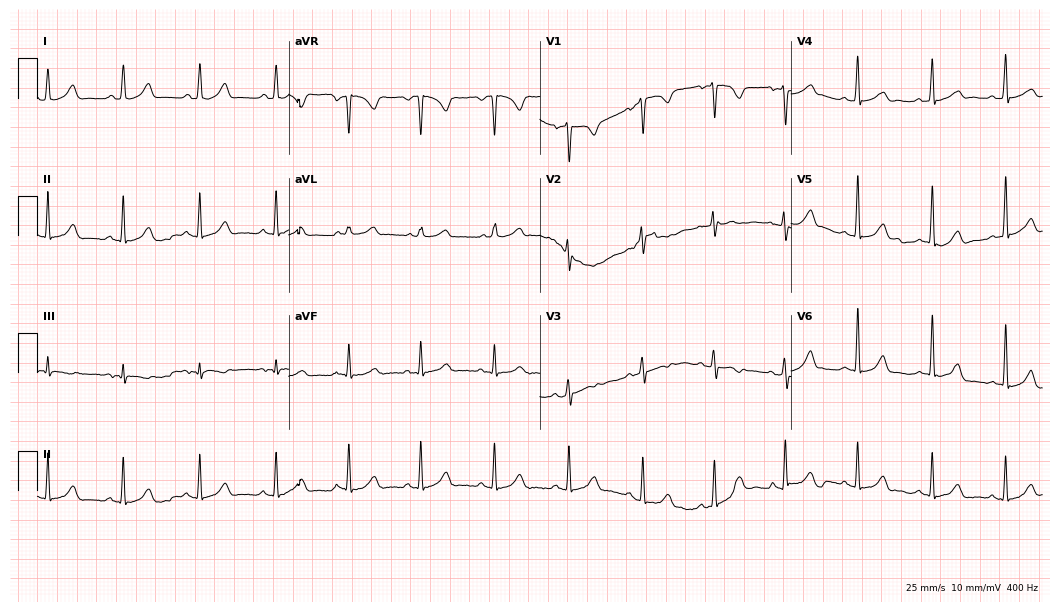
12-lead ECG from a woman, 29 years old (10.2-second recording at 400 Hz). Recorded interpretation: within normal limits.